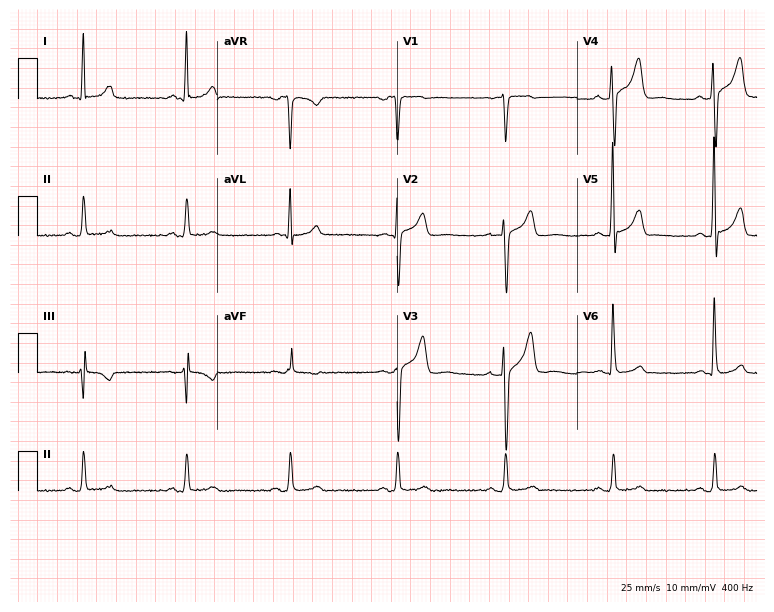
12-lead ECG from a male patient, 29 years old (7.3-second recording at 400 Hz). Recorded interpretation: within normal limits.